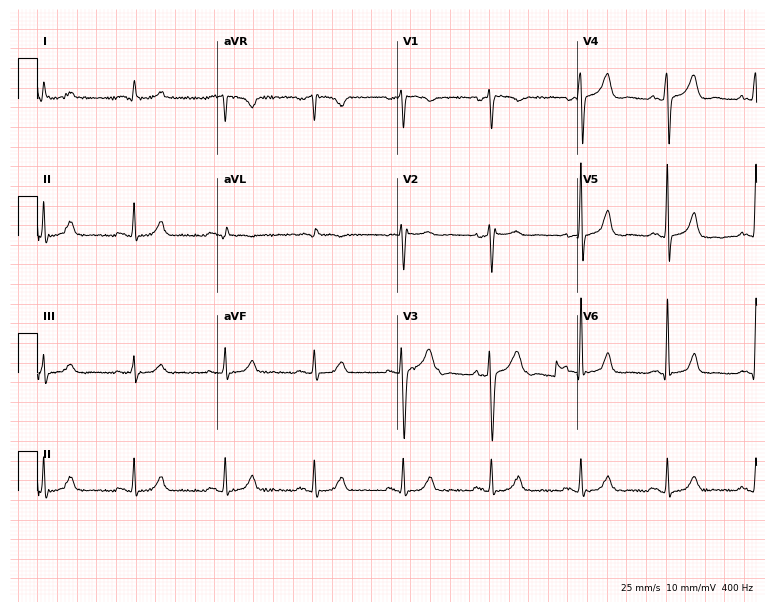
Electrocardiogram (7.3-second recording at 400 Hz), a man, 77 years old. Overall reading on record: normal ECG.